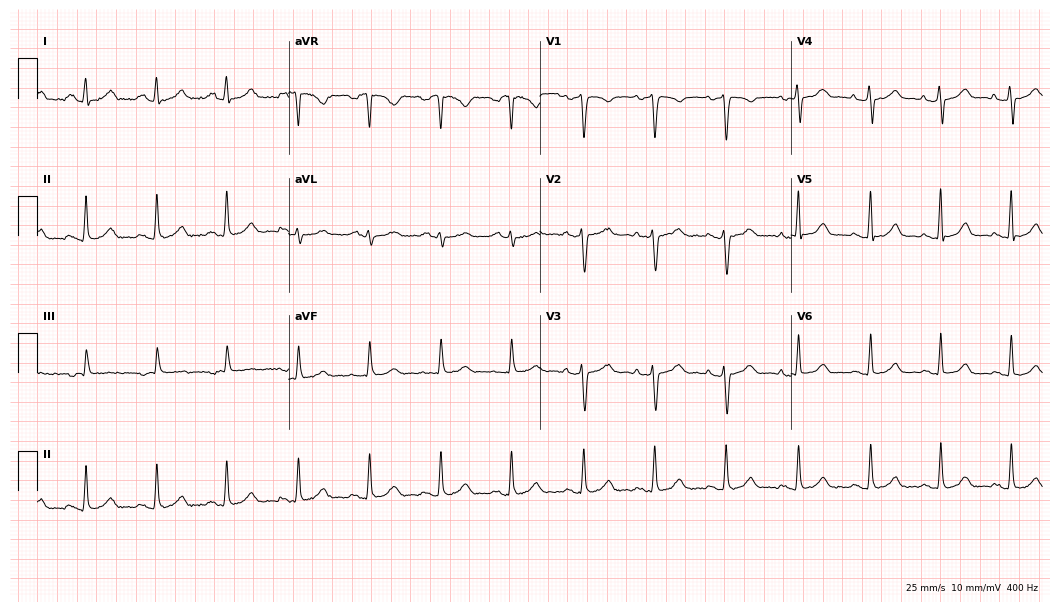
Standard 12-lead ECG recorded from a 38-year-old female patient. None of these six findings is recorded: first-degree AV block, right bundle branch block (RBBB), left bundle branch block (LBBB), sinus bradycardia, atrial fibrillation (AF), sinus tachycardia. Findings outside these six are not listed.